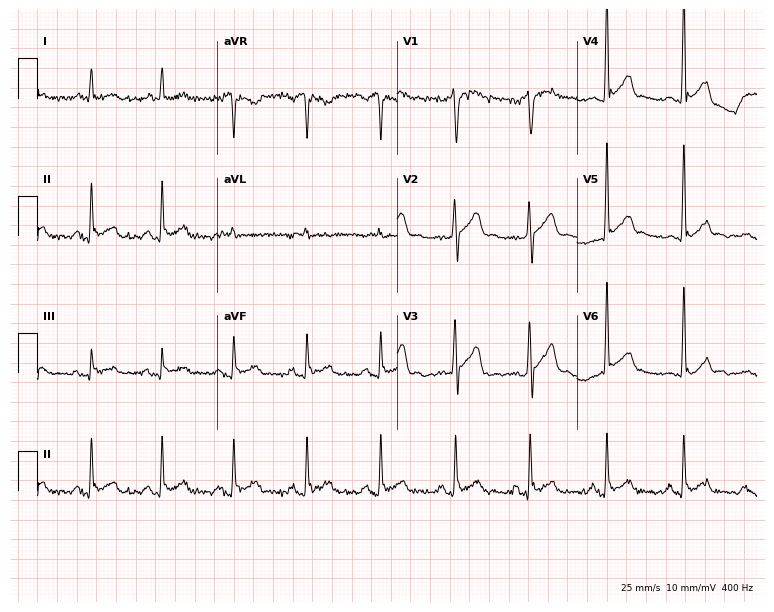
Electrocardiogram (7.3-second recording at 400 Hz), a 46-year-old male. Of the six screened findings (first-degree AV block, right bundle branch block (RBBB), left bundle branch block (LBBB), sinus bradycardia, atrial fibrillation (AF), sinus tachycardia), none is recorded.